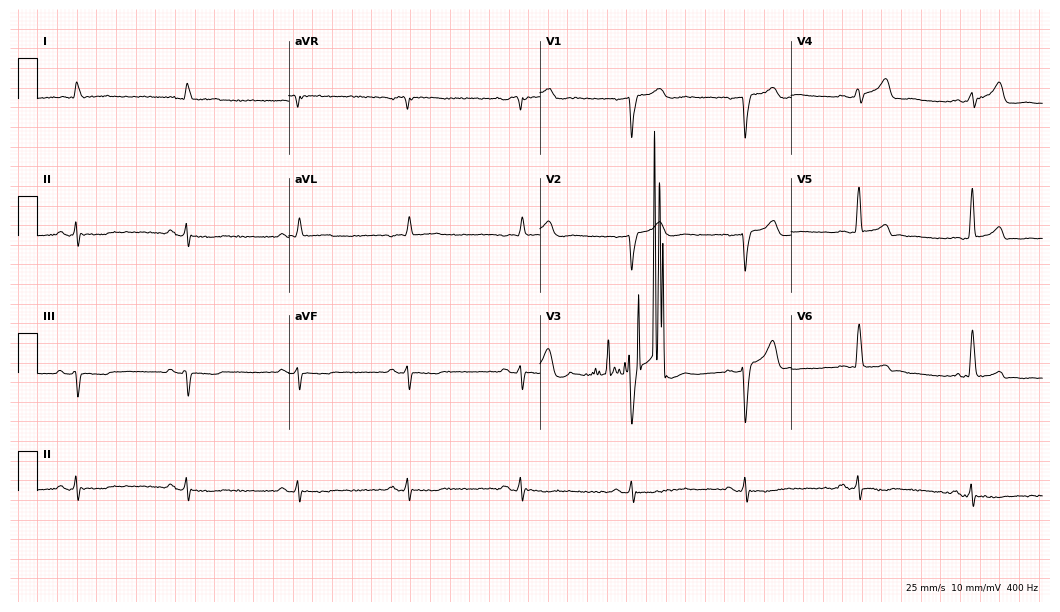
Resting 12-lead electrocardiogram (10.2-second recording at 400 Hz). Patient: a 74-year-old male. None of these six findings is recorded: first-degree AV block, right bundle branch block (RBBB), left bundle branch block (LBBB), sinus bradycardia, atrial fibrillation (AF), sinus tachycardia.